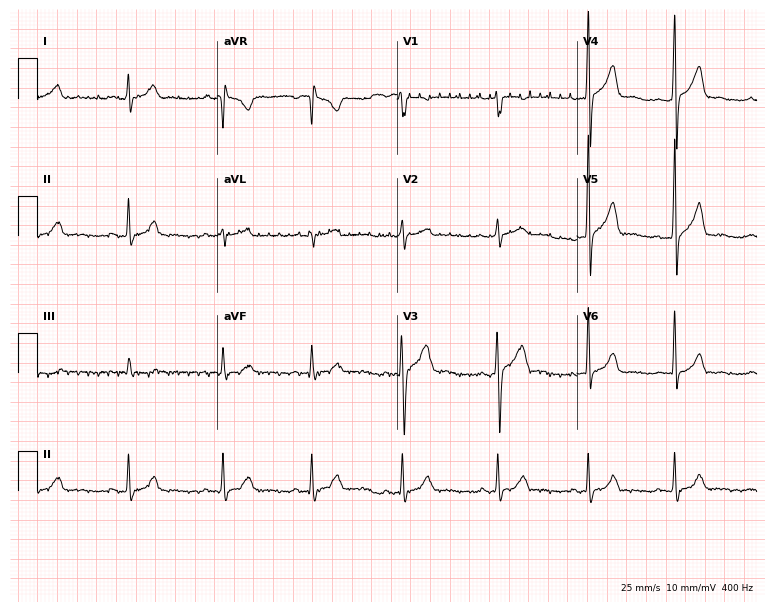
Standard 12-lead ECG recorded from a 36-year-old man. None of these six findings is recorded: first-degree AV block, right bundle branch block (RBBB), left bundle branch block (LBBB), sinus bradycardia, atrial fibrillation (AF), sinus tachycardia. Only these six findings were labelled.